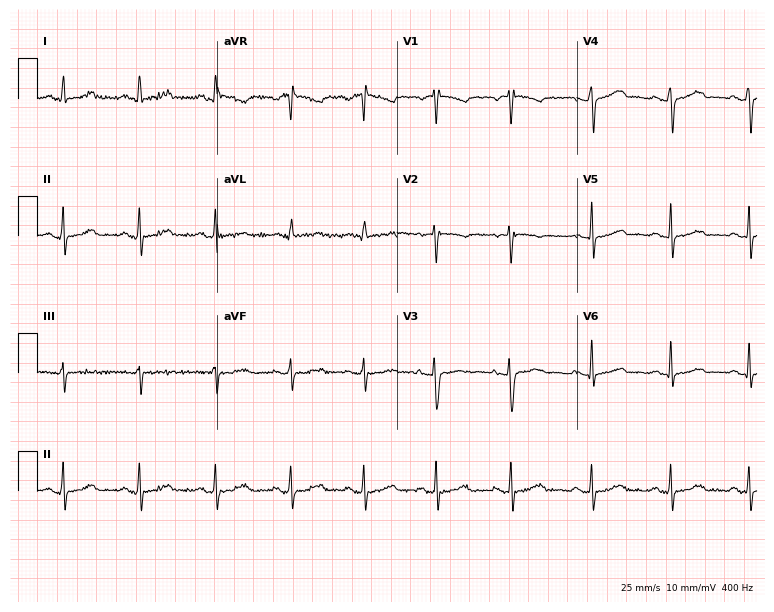
Standard 12-lead ECG recorded from a woman, 58 years old. Read as a normal ECG.